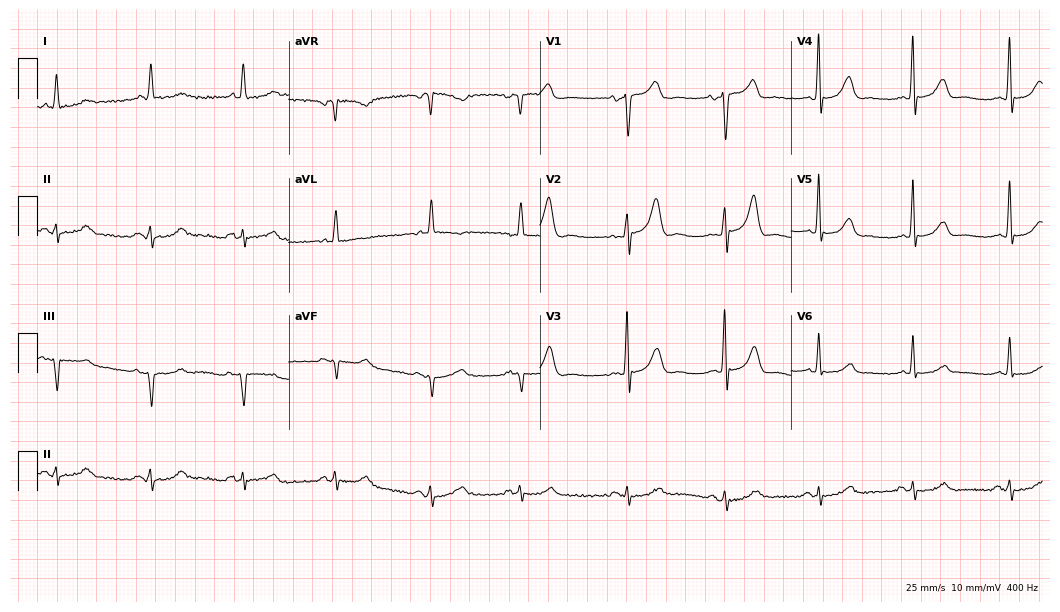
ECG (10.2-second recording at 400 Hz) — a woman, 80 years old. Labelled as a normal ECG.